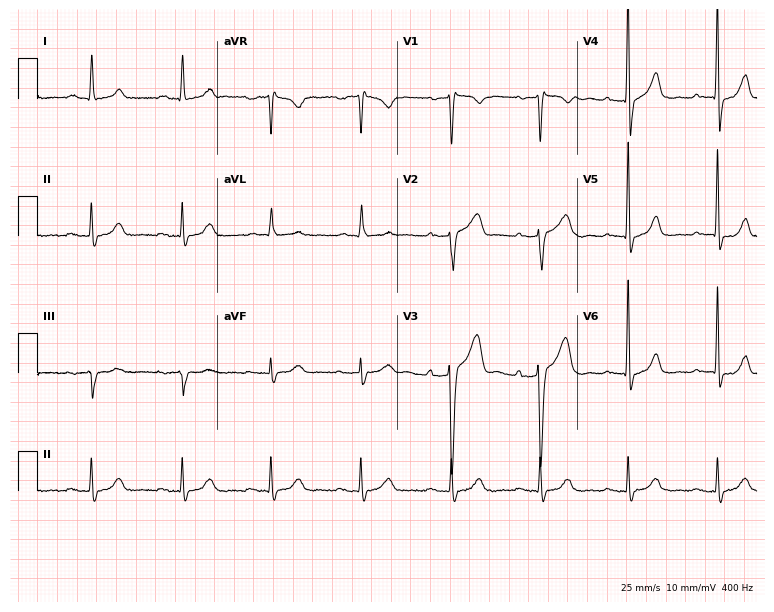
Resting 12-lead electrocardiogram (7.3-second recording at 400 Hz). Patient: a 52-year-old man. Read as a normal ECG.